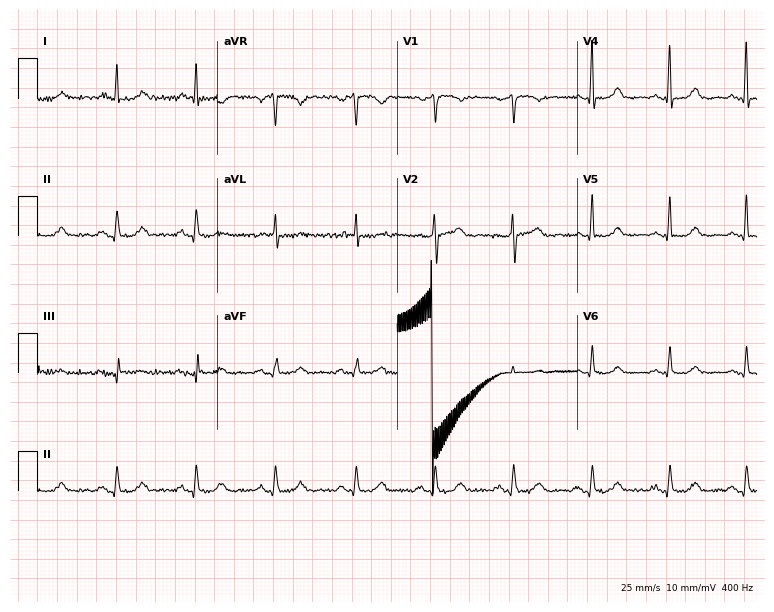
Standard 12-lead ECG recorded from a 61-year-old female (7.3-second recording at 400 Hz). None of these six findings is recorded: first-degree AV block, right bundle branch block (RBBB), left bundle branch block (LBBB), sinus bradycardia, atrial fibrillation (AF), sinus tachycardia. Findings outside these six are not listed.